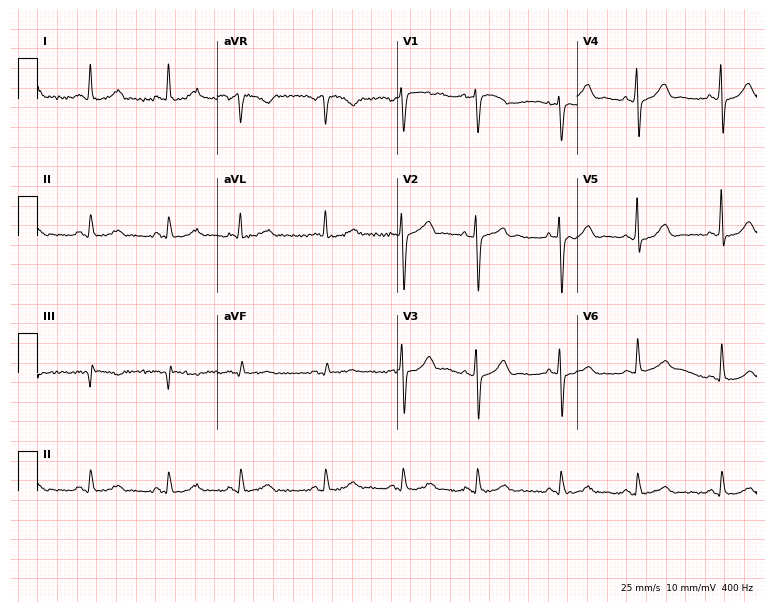
12-lead ECG from a 73-year-old woman (7.3-second recording at 400 Hz). No first-degree AV block, right bundle branch block, left bundle branch block, sinus bradycardia, atrial fibrillation or sinus tachycardia recorded for this tracing. Only these six findings were labelled.